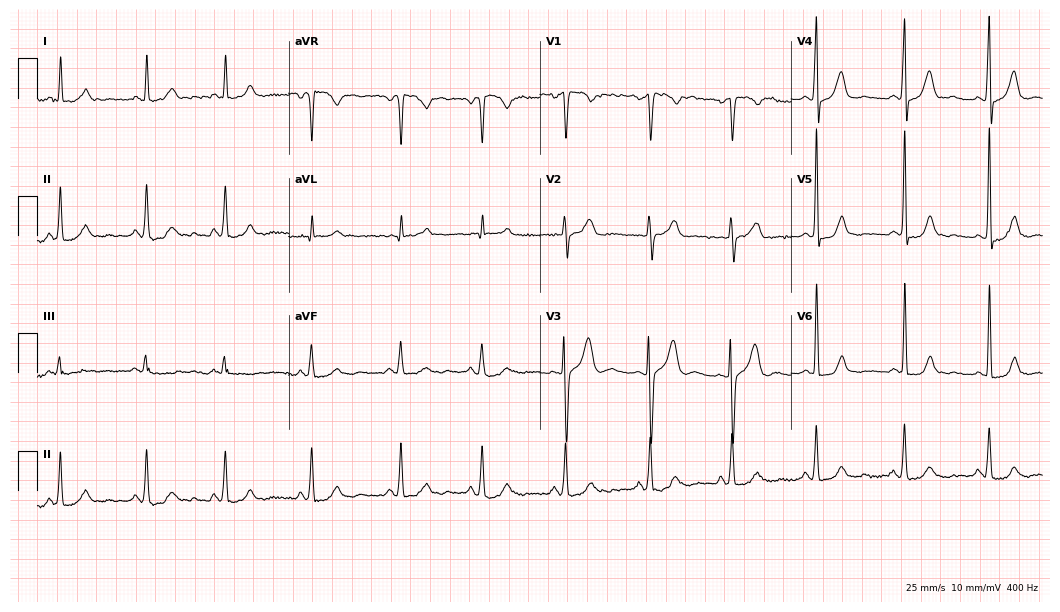
Standard 12-lead ECG recorded from a female patient, 33 years old. Read as a normal ECG.